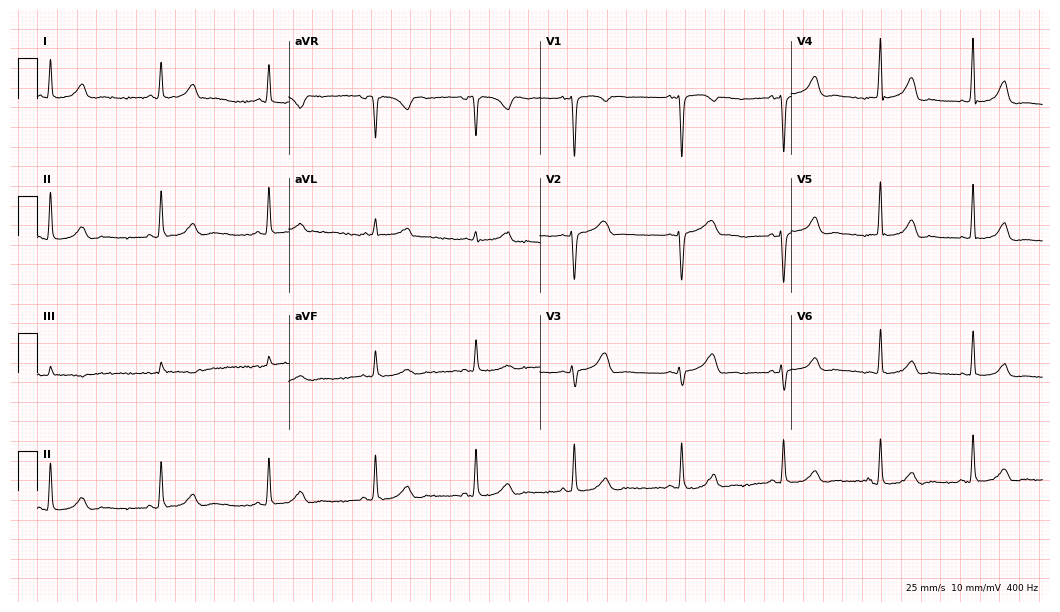
ECG (10.2-second recording at 400 Hz) — a female patient, 35 years old. Labelled as a normal ECG.